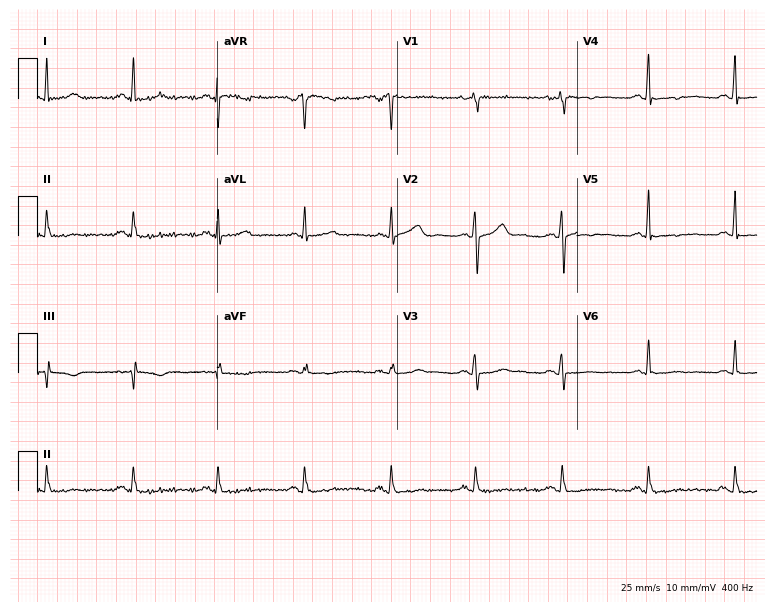
ECG (7.3-second recording at 400 Hz) — a female patient, 48 years old. Screened for six findings — first-degree AV block, right bundle branch block, left bundle branch block, sinus bradycardia, atrial fibrillation, sinus tachycardia — none is recorded. Only these six findings were labelled.